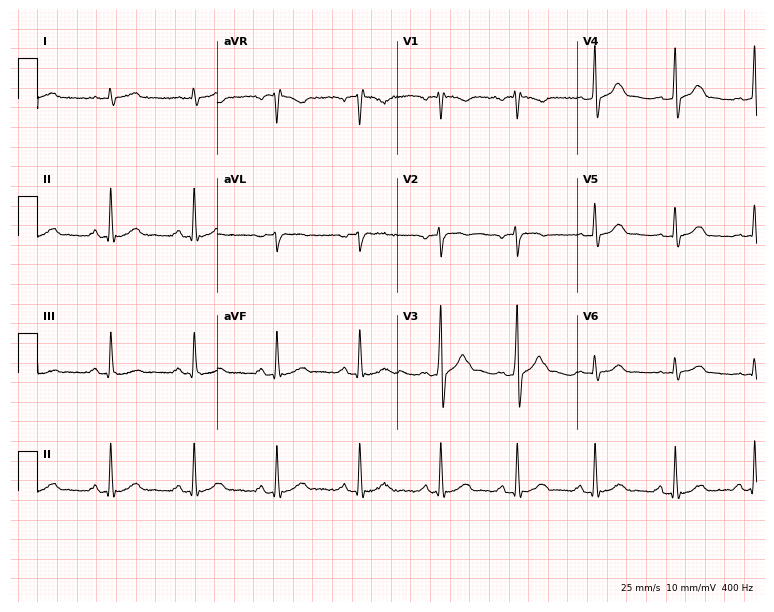
ECG (7.3-second recording at 400 Hz) — a 49-year-old male patient. Screened for six findings — first-degree AV block, right bundle branch block (RBBB), left bundle branch block (LBBB), sinus bradycardia, atrial fibrillation (AF), sinus tachycardia — none is recorded. Other findings, if any, are not listed.